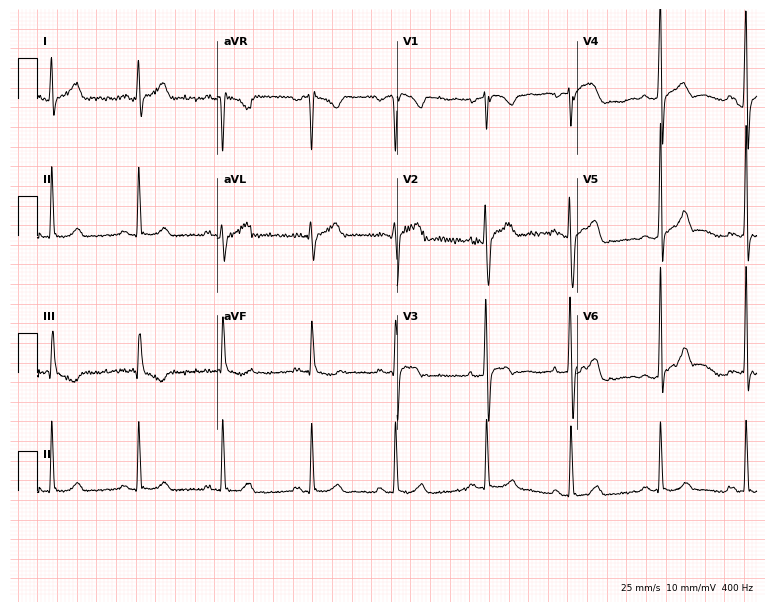
12-lead ECG from a 33-year-old man (7.3-second recording at 400 Hz). No first-degree AV block, right bundle branch block (RBBB), left bundle branch block (LBBB), sinus bradycardia, atrial fibrillation (AF) or sinus tachycardia recorded for this tracing.